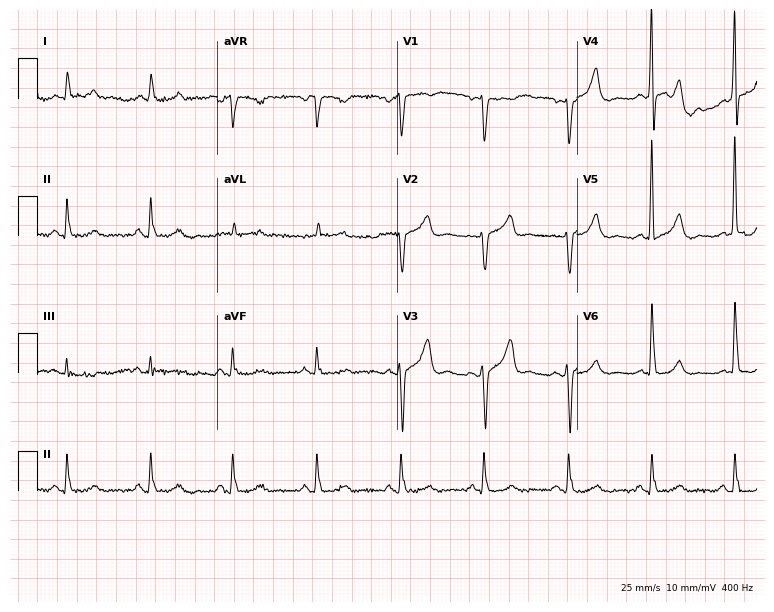
12-lead ECG (7.3-second recording at 400 Hz) from an 87-year-old man. Labelled as a normal ECG.